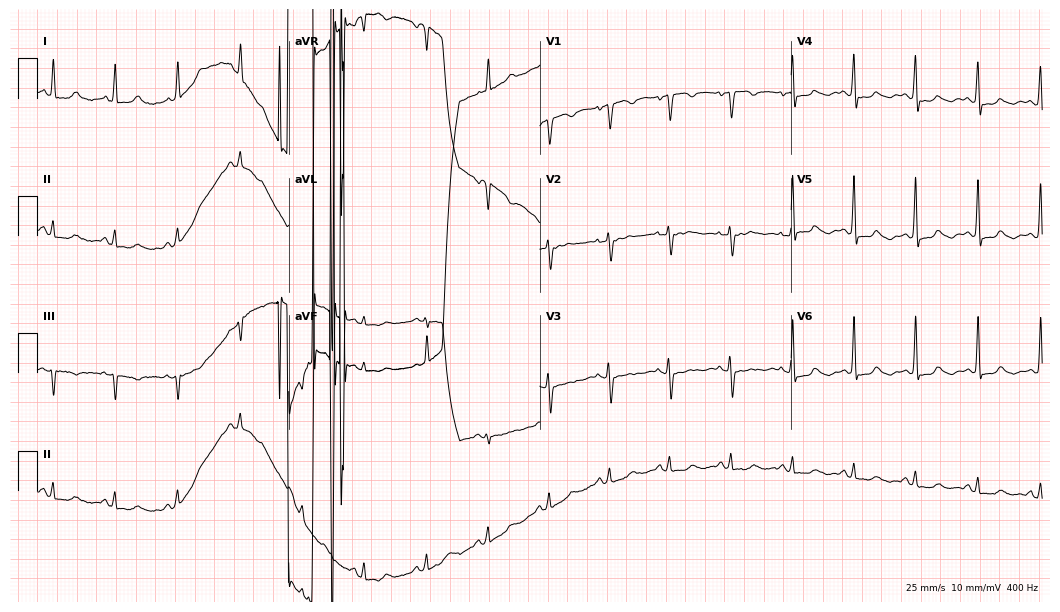
12-lead ECG from a female, 69 years old (10.2-second recording at 400 Hz). No first-degree AV block, right bundle branch block, left bundle branch block, sinus bradycardia, atrial fibrillation or sinus tachycardia recorded for this tracing.